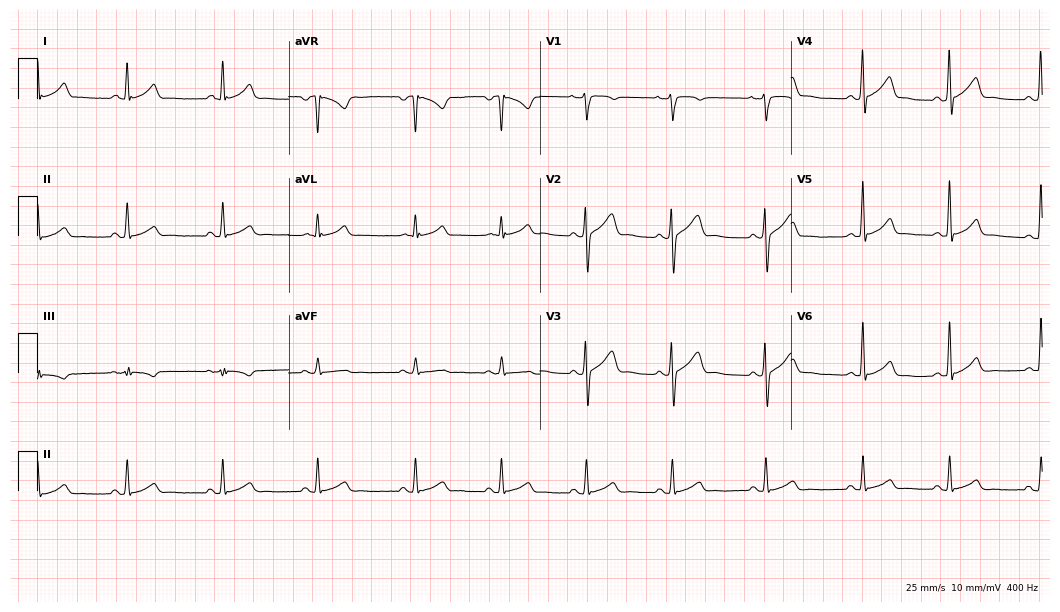
Resting 12-lead electrocardiogram. Patient: a male, 39 years old. None of these six findings is recorded: first-degree AV block, right bundle branch block, left bundle branch block, sinus bradycardia, atrial fibrillation, sinus tachycardia. Only these six findings were labelled.